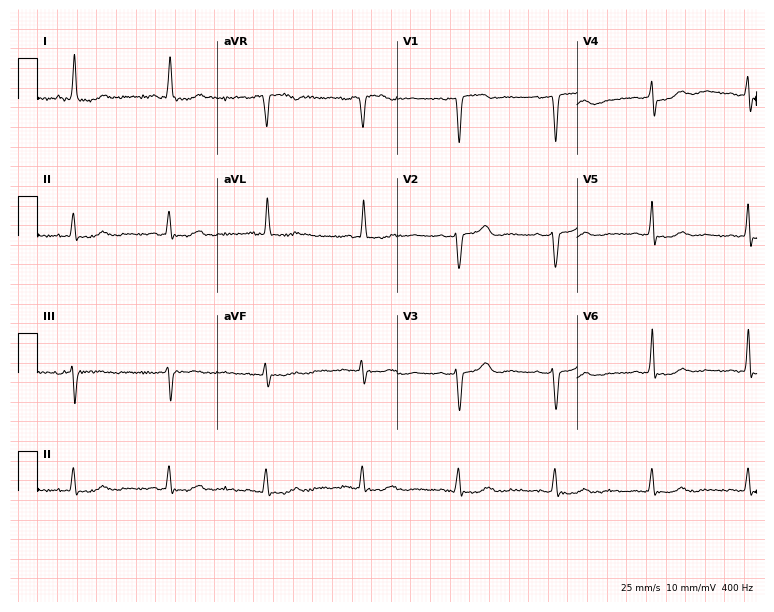
Standard 12-lead ECG recorded from a female, 67 years old. None of these six findings is recorded: first-degree AV block, right bundle branch block, left bundle branch block, sinus bradycardia, atrial fibrillation, sinus tachycardia. Other findings, if any, are not listed.